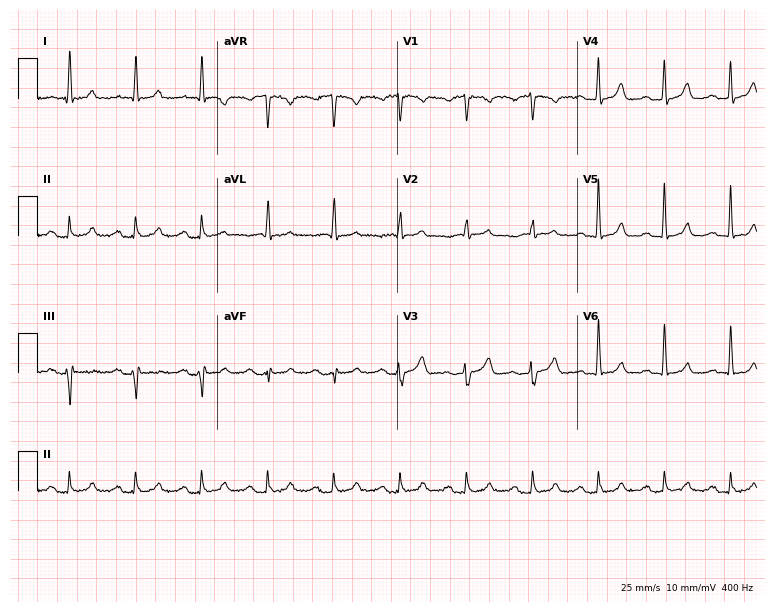
12-lead ECG from a man, 67 years old (7.3-second recording at 400 Hz). Shows first-degree AV block.